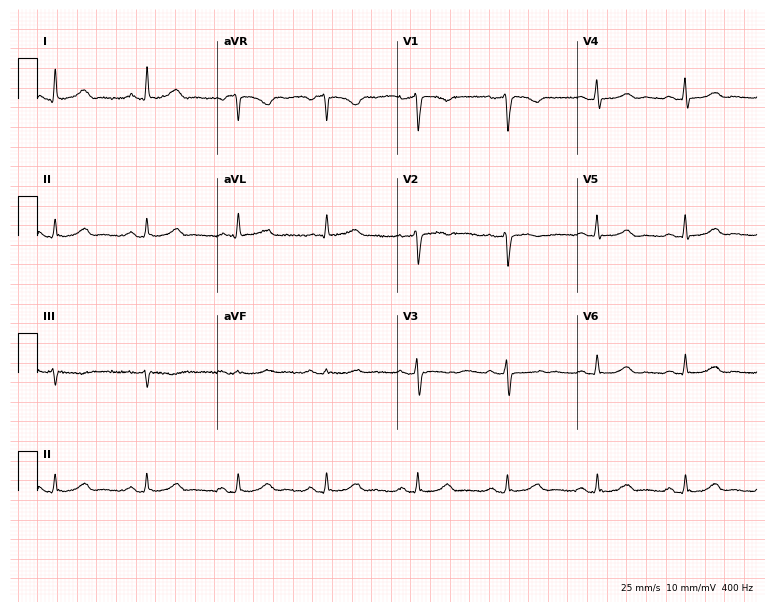
Resting 12-lead electrocardiogram. Patient: a 46-year-old female. None of these six findings is recorded: first-degree AV block, right bundle branch block, left bundle branch block, sinus bradycardia, atrial fibrillation, sinus tachycardia.